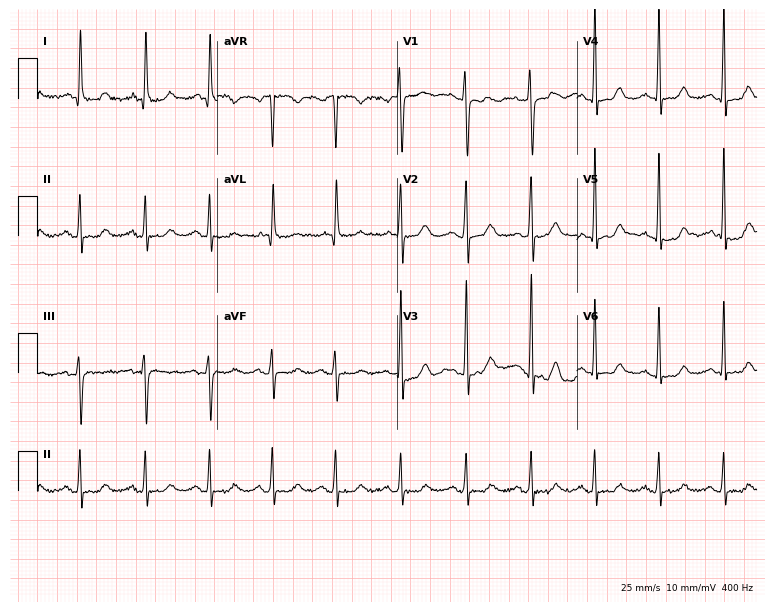
Standard 12-lead ECG recorded from a woman, 51 years old. Read as a normal ECG.